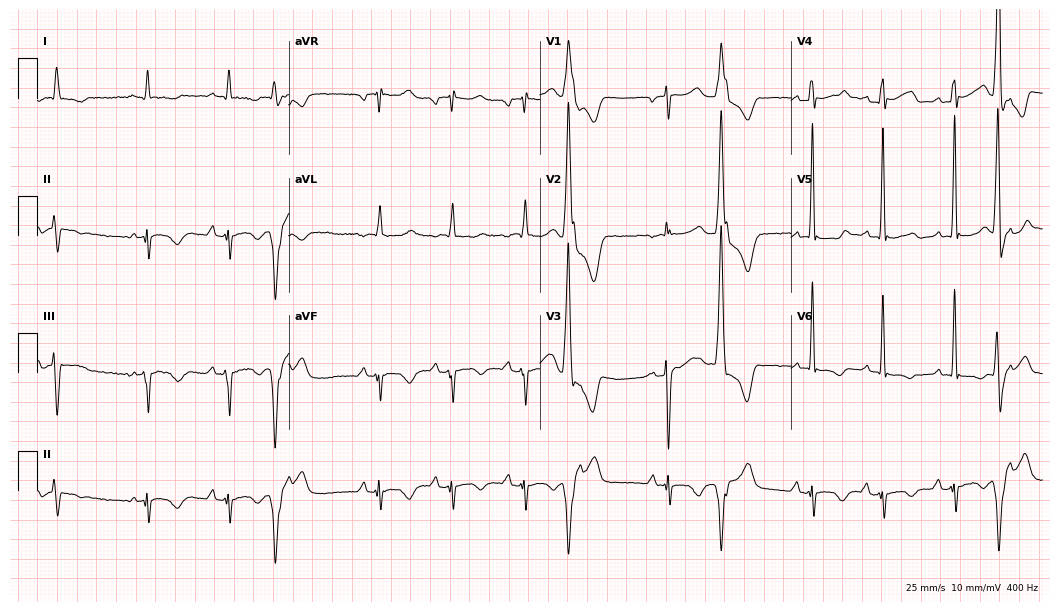
Electrocardiogram (10.2-second recording at 400 Hz), an 81-year-old man. Of the six screened findings (first-degree AV block, right bundle branch block, left bundle branch block, sinus bradycardia, atrial fibrillation, sinus tachycardia), none is recorded.